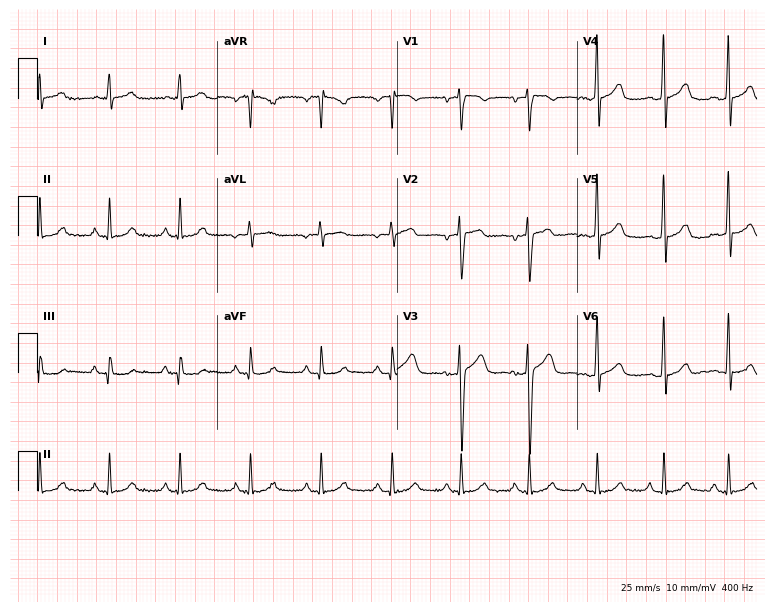
Standard 12-lead ECG recorded from a 38-year-old woman (7.3-second recording at 400 Hz). Read as a normal ECG.